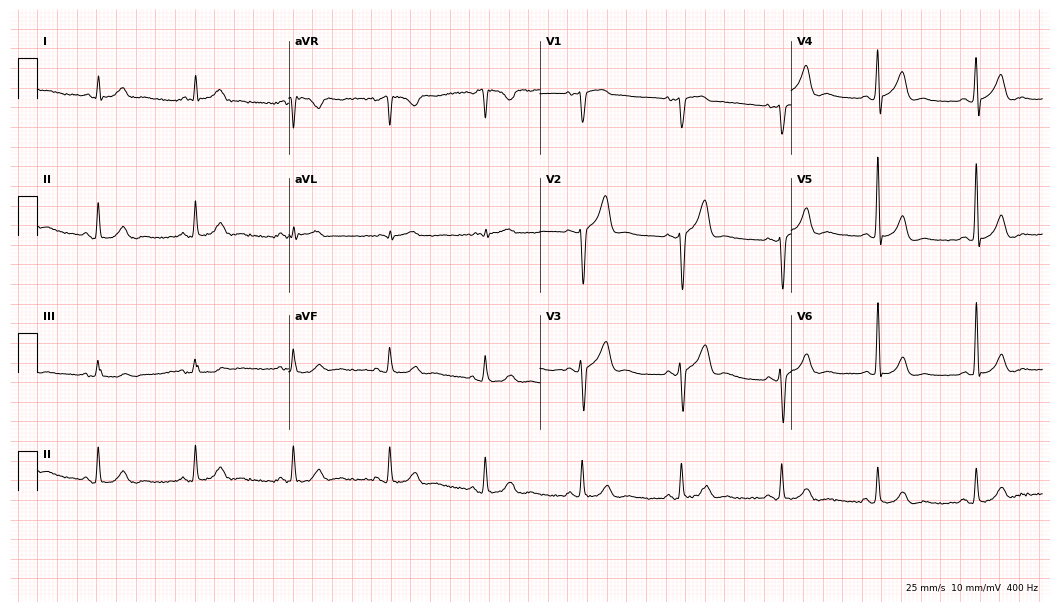
12-lead ECG (10.2-second recording at 400 Hz) from a man, 54 years old. Labelled as a normal ECG.